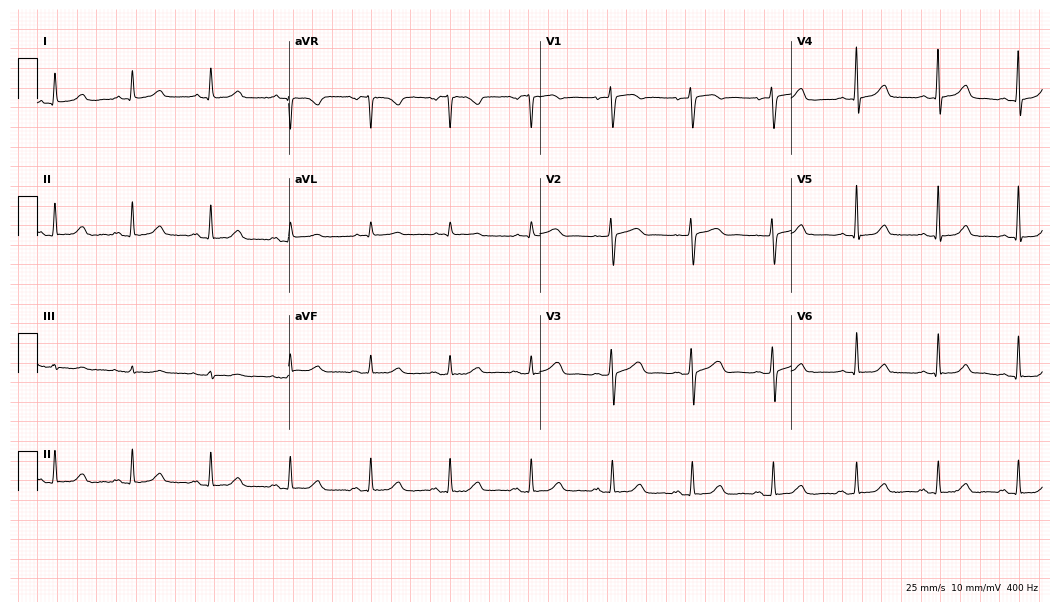
Resting 12-lead electrocardiogram (10.2-second recording at 400 Hz). Patient: a 56-year-old female. None of these six findings is recorded: first-degree AV block, right bundle branch block, left bundle branch block, sinus bradycardia, atrial fibrillation, sinus tachycardia. Other findings, if any, are not listed.